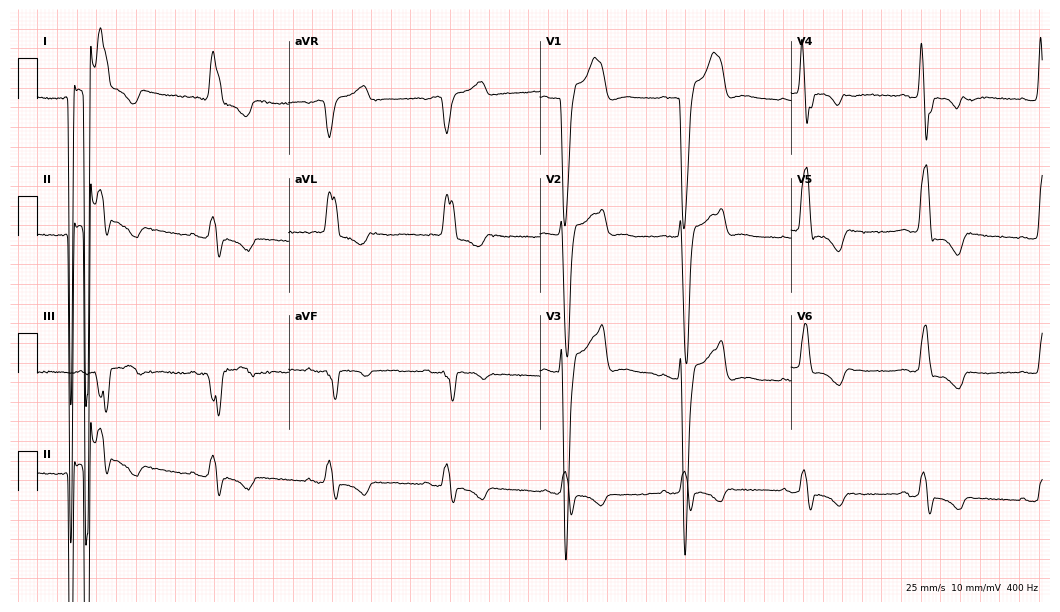
Resting 12-lead electrocardiogram (10.2-second recording at 400 Hz). Patient: a man, 77 years old. The tracing shows left bundle branch block, sinus bradycardia (a sinus rate of 50 beats per minute or less).